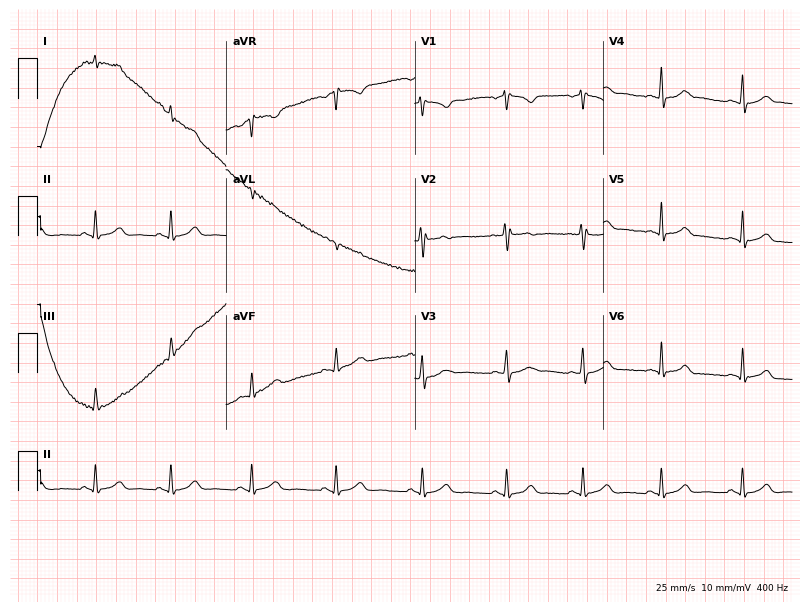
ECG (7.7-second recording at 400 Hz) — a woman, 24 years old. Labelled as a normal ECG.